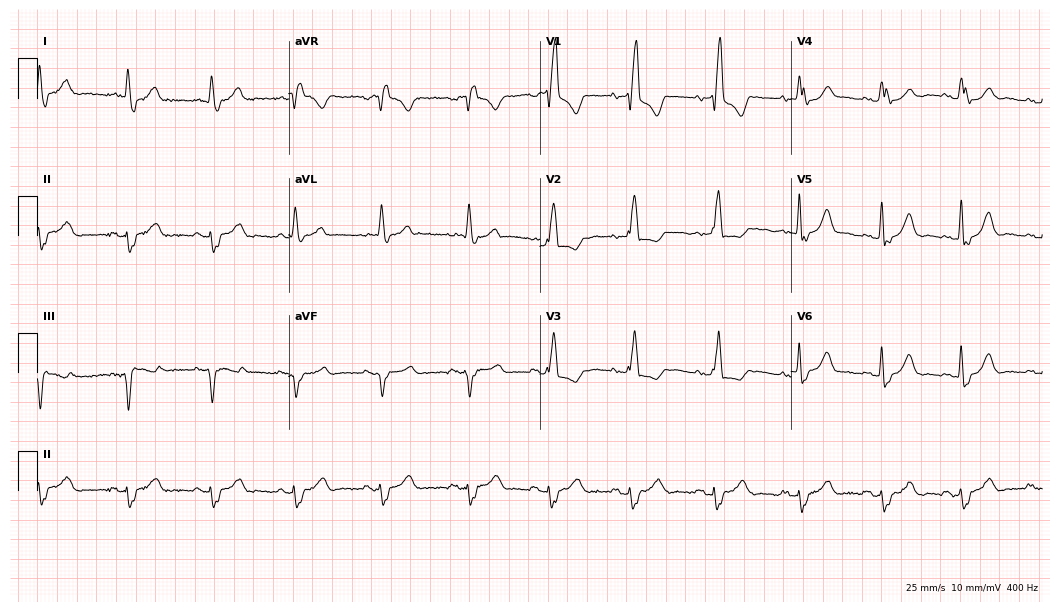
Electrocardiogram (10.2-second recording at 400 Hz), an 84-year-old female. Interpretation includes right bundle branch block.